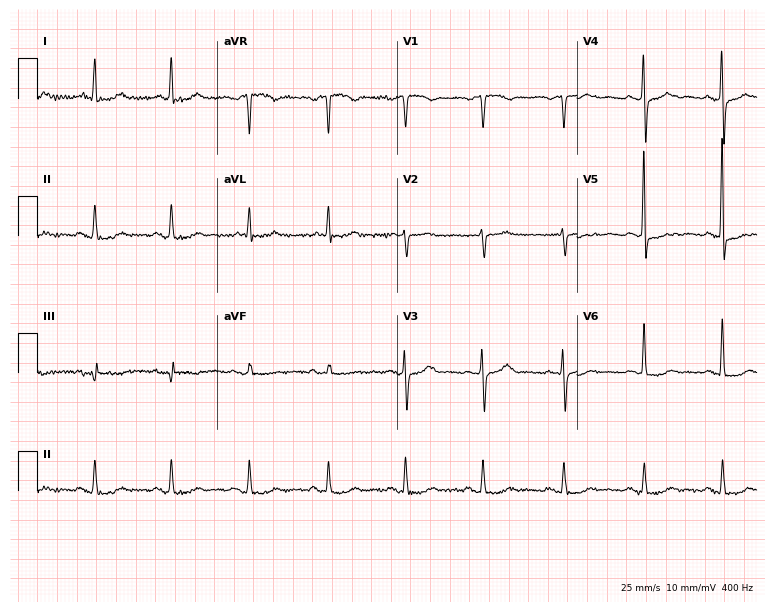
Standard 12-lead ECG recorded from a 76-year-old female patient (7.3-second recording at 400 Hz). None of these six findings is recorded: first-degree AV block, right bundle branch block, left bundle branch block, sinus bradycardia, atrial fibrillation, sinus tachycardia. Findings outside these six are not listed.